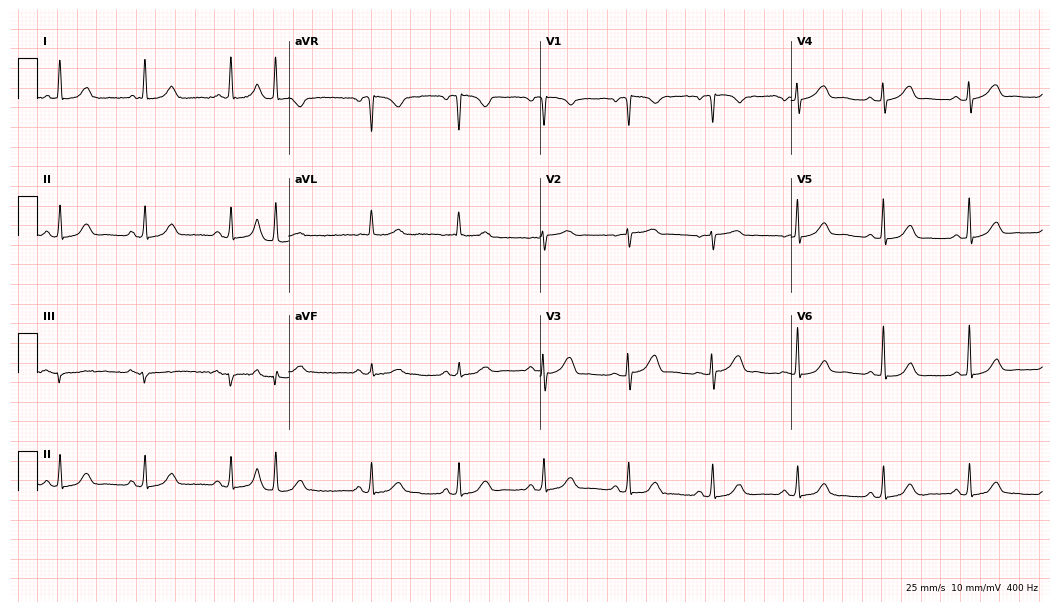
12-lead ECG (10.2-second recording at 400 Hz) from a 78-year-old woman. Screened for six findings — first-degree AV block, right bundle branch block (RBBB), left bundle branch block (LBBB), sinus bradycardia, atrial fibrillation (AF), sinus tachycardia — none is recorded. Other findings, if any, are not listed.